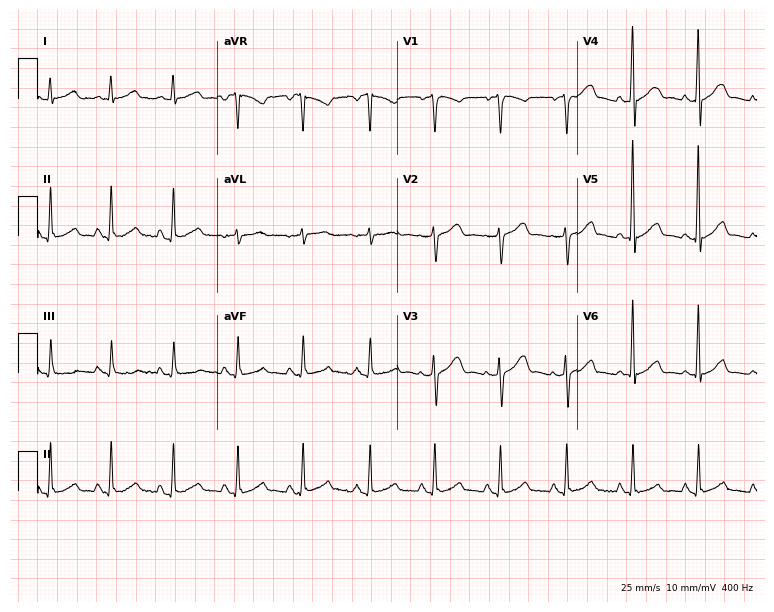
12-lead ECG from a female, 43 years old. Labelled as a normal ECG.